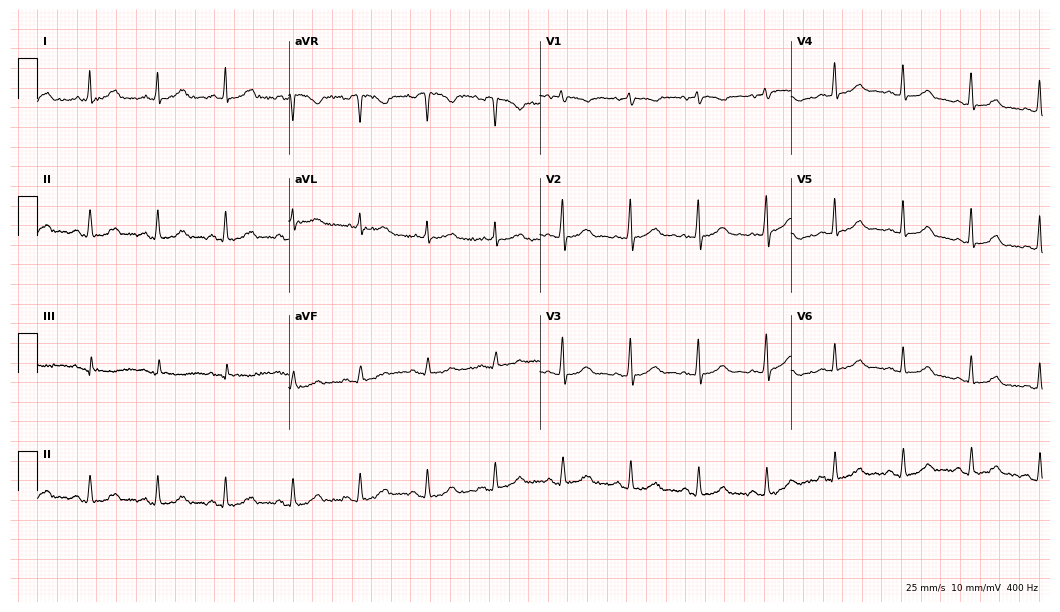
12-lead ECG from a 57-year-old female patient. Labelled as a normal ECG.